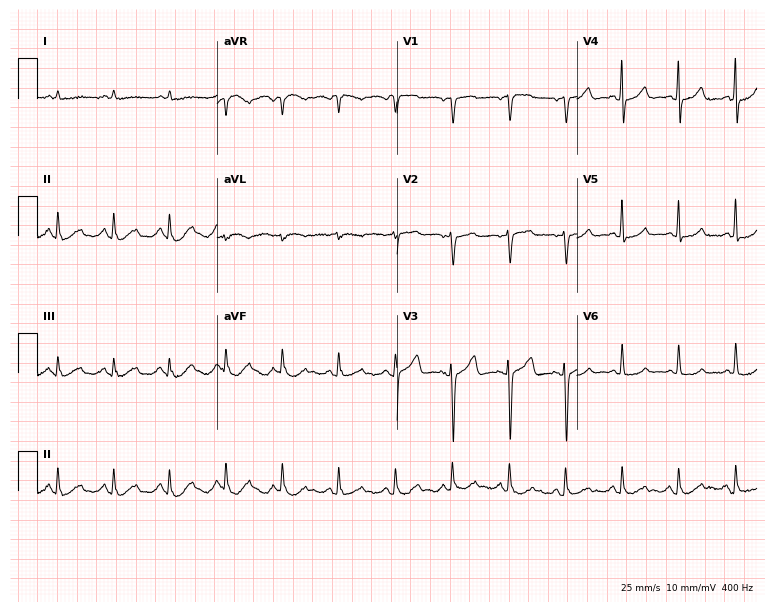
12-lead ECG from a 73-year-old woman. Shows sinus tachycardia (a sinus rate of 100 beats per minute or more).